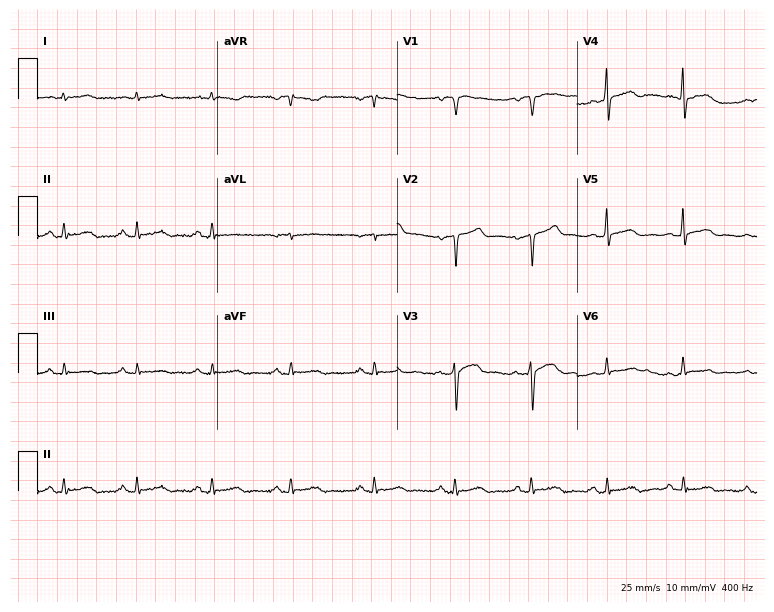
ECG (7.3-second recording at 400 Hz) — a male, 41 years old. Screened for six findings — first-degree AV block, right bundle branch block (RBBB), left bundle branch block (LBBB), sinus bradycardia, atrial fibrillation (AF), sinus tachycardia — none is recorded.